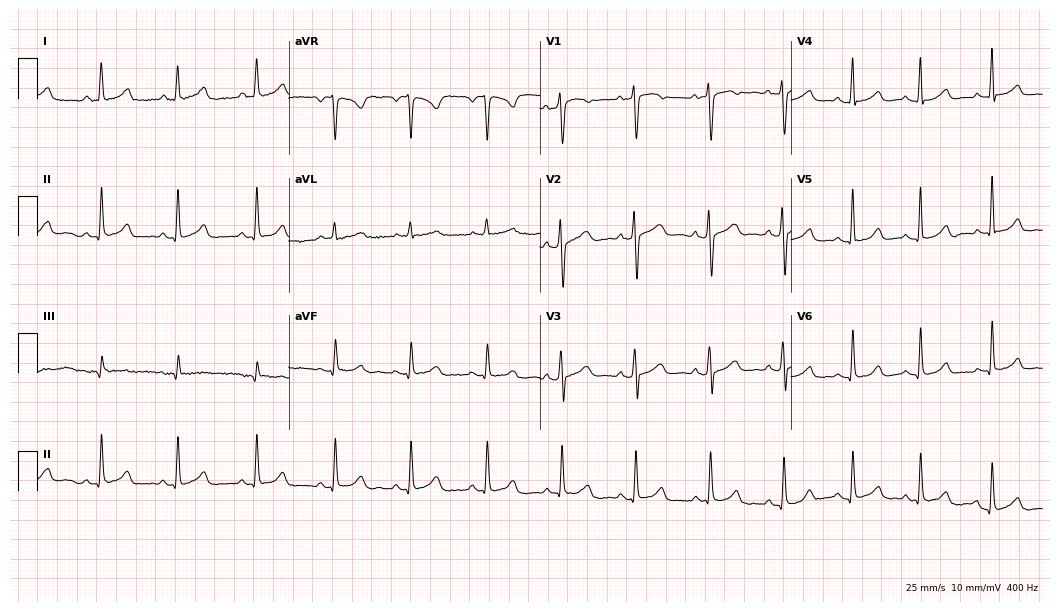
Standard 12-lead ECG recorded from a woman, 48 years old. None of these six findings is recorded: first-degree AV block, right bundle branch block (RBBB), left bundle branch block (LBBB), sinus bradycardia, atrial fibrillation (AF), sinus tachycardia.